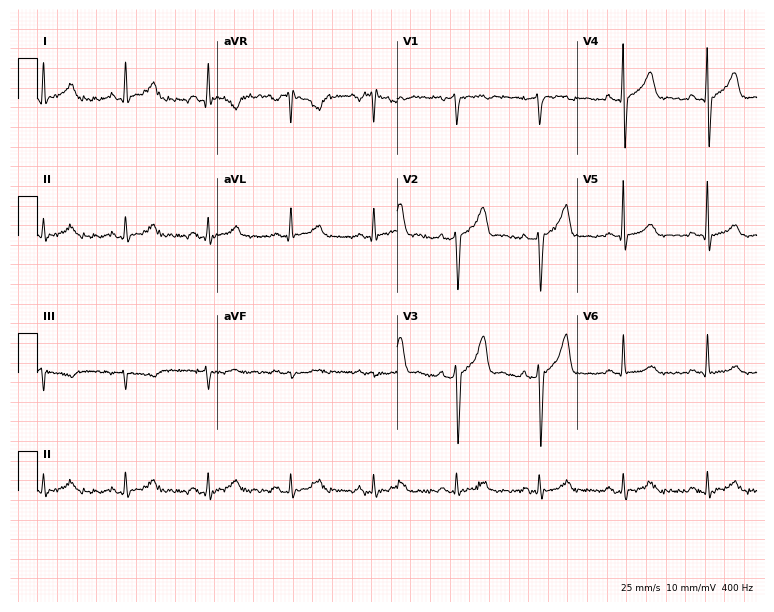
ECG — a 47-year-old male. Screened for six findings — first-degree AV block, right bundle branch block, left bundle branch block, sinus bradycardia, atrial fibrillation, sinus tachycardia — none is recorded.